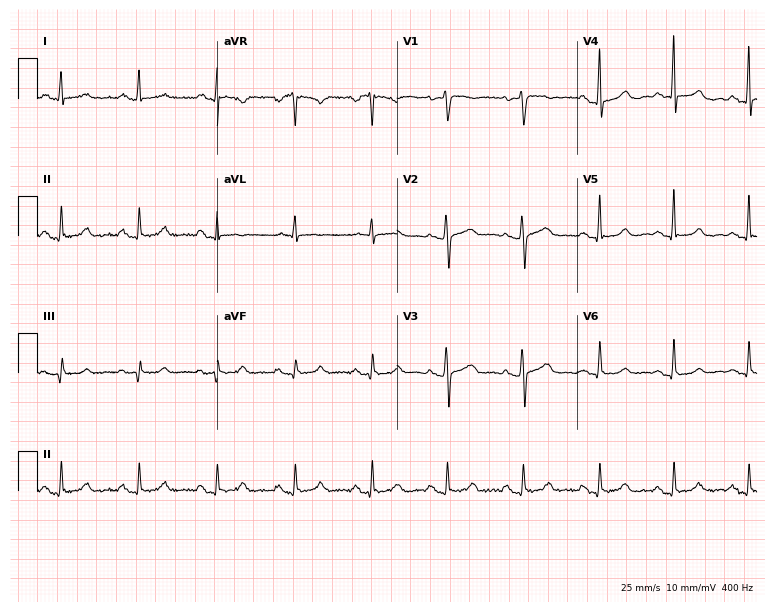
Electrocardiogram, a 57-year-old female patient. Overall reading on record: normal ECG.